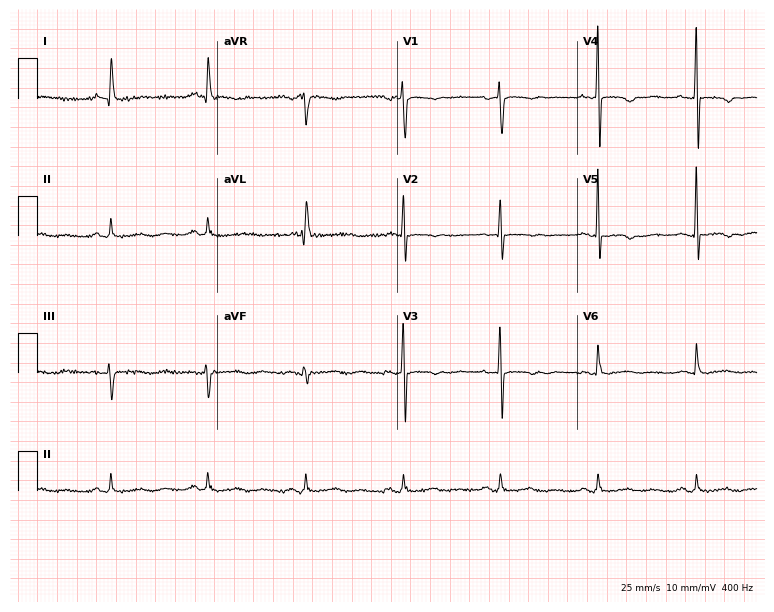
12-lead ECG (7.3-second recording at 400 Hz) from a female, 71 years old. Screened for six findings — first-degree AV block, right bundle branch block, left bundle branch block, sinus bradycardia, atrial fibrillation, sinus tachycardia — none is recorded.